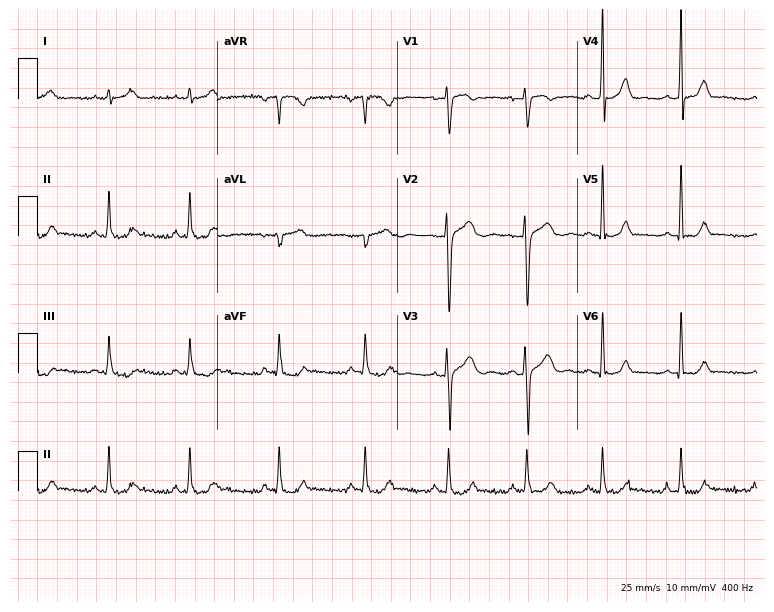
12-lead ECG (7.3-second recording at 400 Hz) from a man, 17 years old. Labelled as a normal ECG.